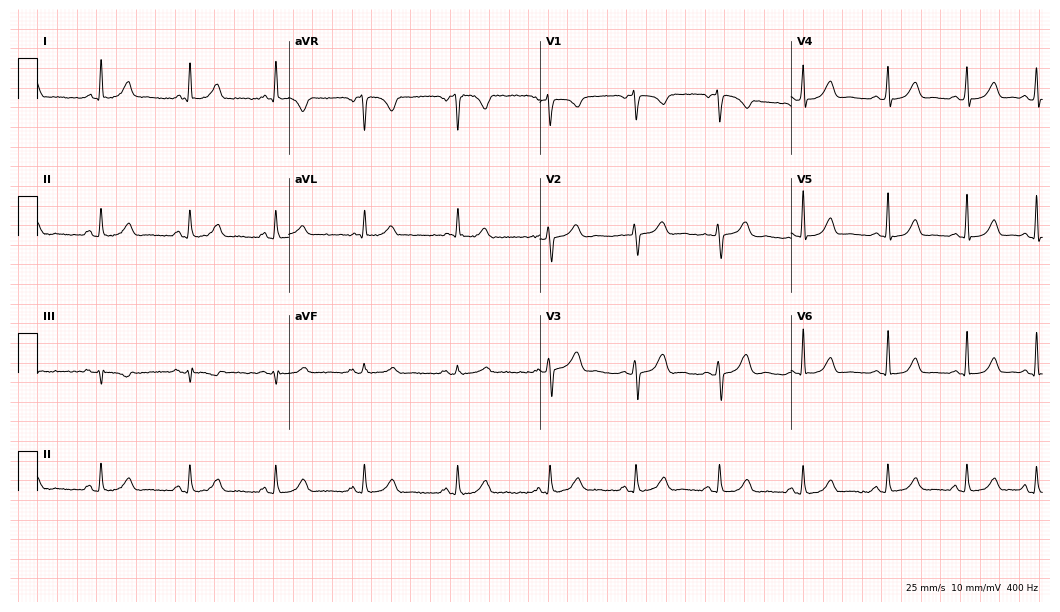
ECG (10.2-second recording at 400 Hz) — a 38-year-old female patient. Screened for six findings — first-degree AV block, right bundle branch block (RBBB), left bundle branch block (LBBB), sinus bradycardia, atrial fibrillation (AF), sinus tachycardia — none is recorded. Findings outside these six are not listed.